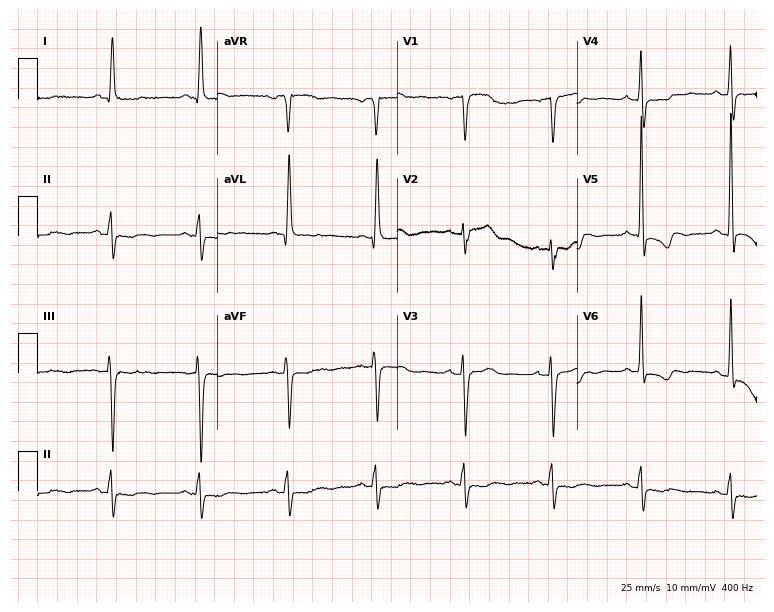
Electrocardiogram, a 74-year-old male patient. Of the six screened findings (first-degree AV block, right bundle branch block (RBBB), left bundle branch block (LBBB), sinus bradycardia, atrial fibrillation (AF), sinus tachycardia), none is recorded. Other findings, if any, are not listed.